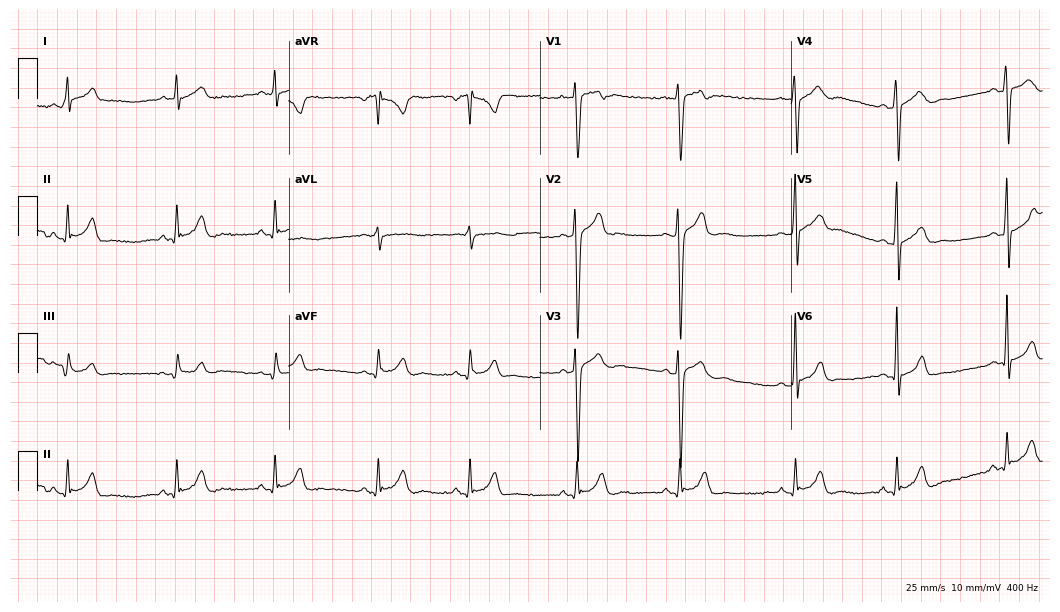
12-lead ECG (10.2-second recording at 400 Hz) from a 21-year-old male patient. Labelled as a normal ECG.